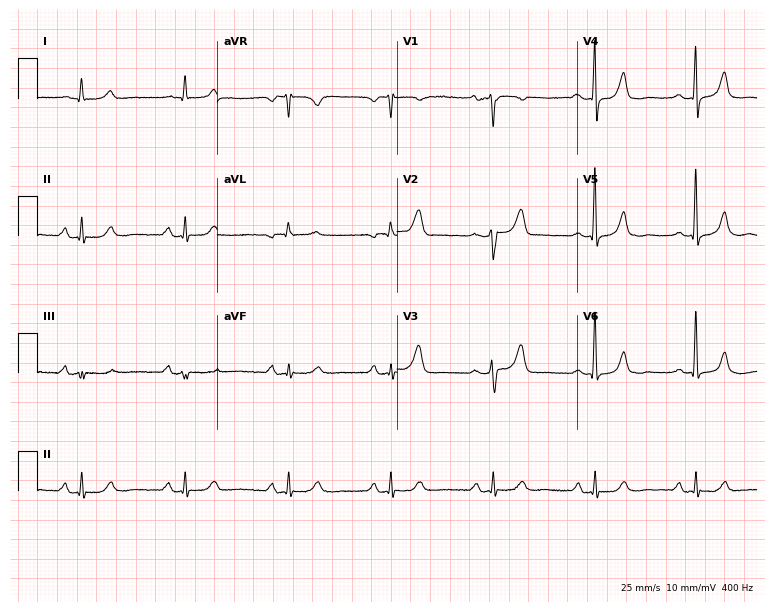
Resting 12-lead electrocardiogram. Patient: a 72-year-old female. None of these six findings is recorded: first-degree AV block, right bundle branch block (RBBB), left bundle branch block (LBBB), sinus bradycardia, atrial fibrillation (AF), sinus tachycardia.